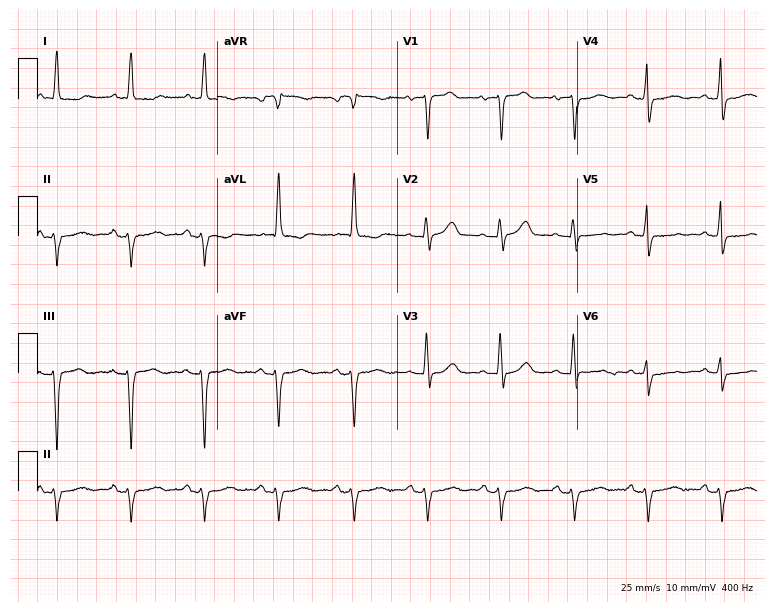
12-lead ECG from a female, 73 years old. No first-degree AV block, right bundle branch block, left bundle branch block, sinus bradycardia, atrial fibrillation or sinus tachycardia recorded for this tracing.